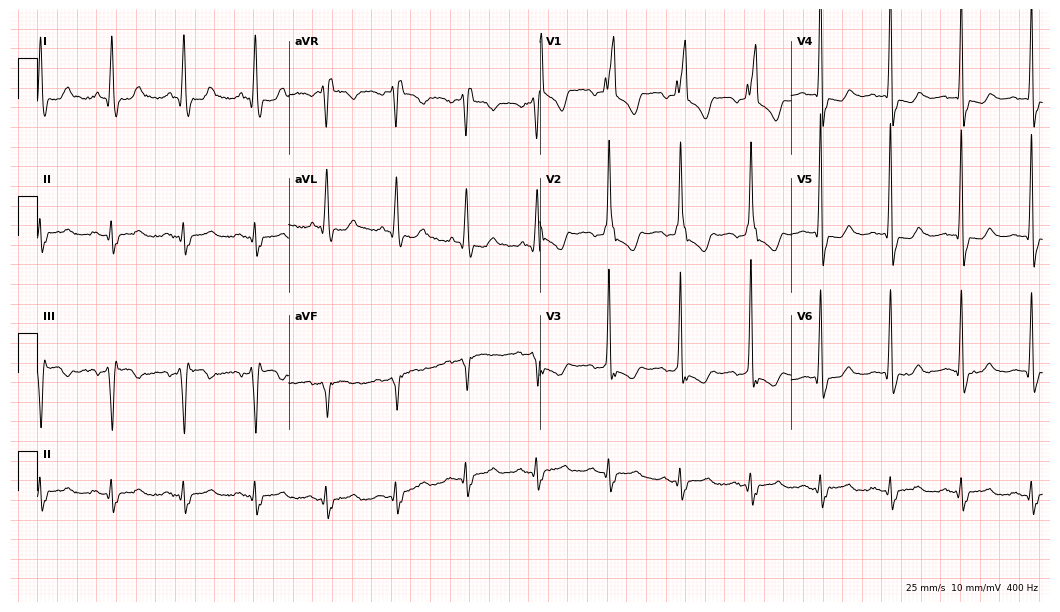
12-lead ECG from a woman, 83 years old. Shows right bundle branch block.